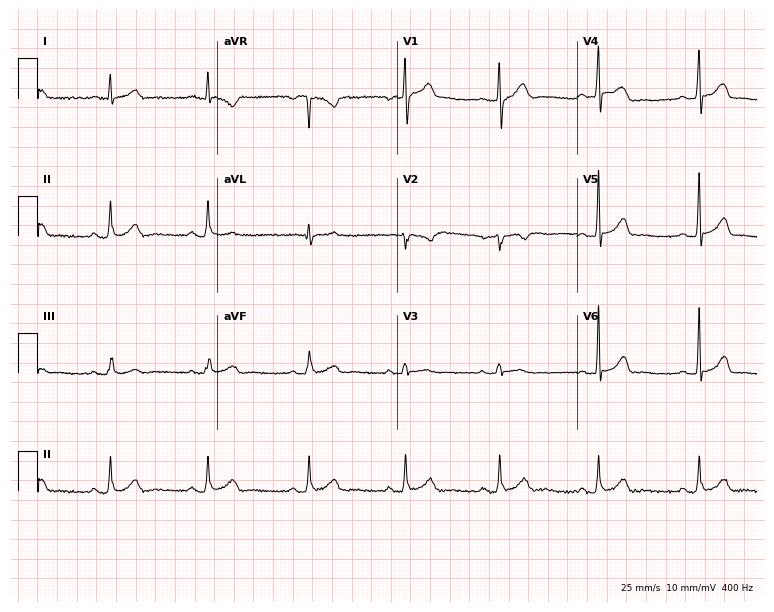
Resting 12-lead electrocardiogram. Patient: a 57-year-old female. None of these six findings is recorded: first-degree AV block, right bundle branch block, left bundle branch block, sinus bradycardia, atrial fibrillation, sinus tachycardia. Other findings, if any, are not listed.